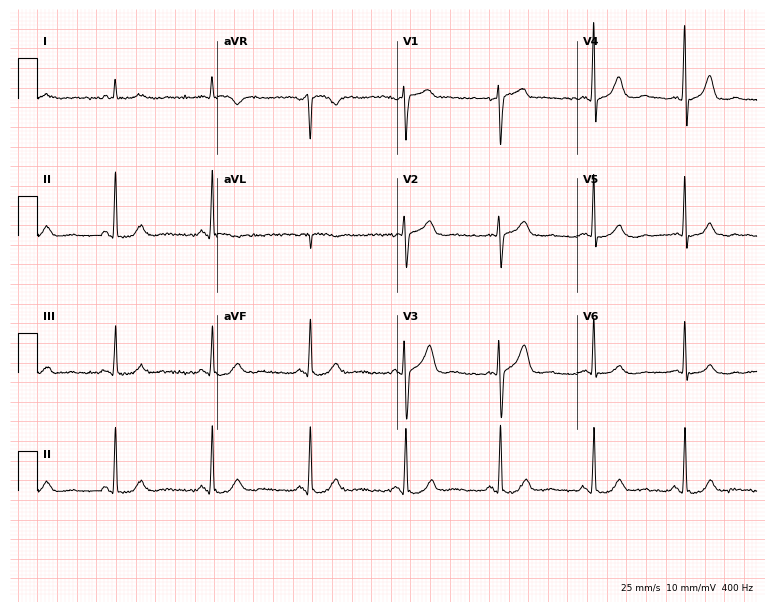
Electrocardiogram (7.3-second recording at 400 Hz), a 44-year-old male patient. Overall reading on record: normal ECG.